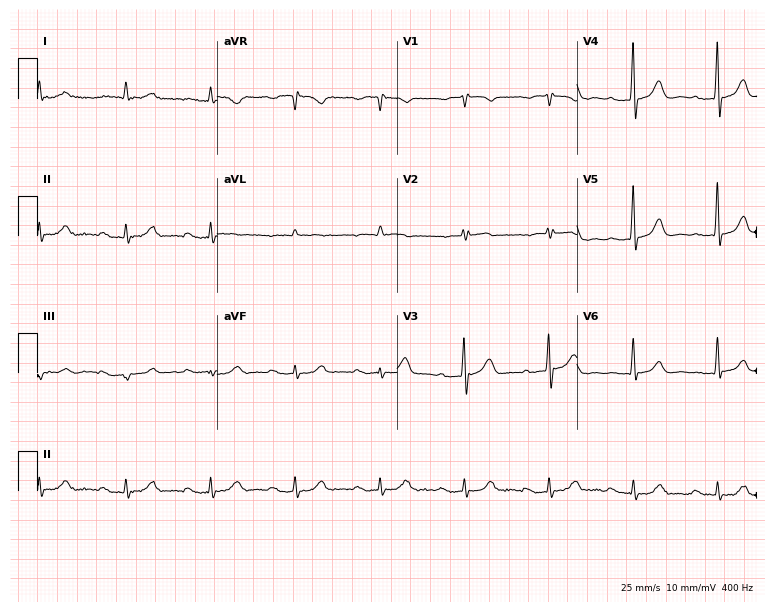
12-lead ECG (7.3-second recording at 400 Hz) from an 84-year-old male patient. Screened for six findings — first-degree AV block, right bundle branch block, left bundle branch block, sinus bradycardia, atrial fibrillation, sinus tachycardia — none is recorded. Only these six findings were labelled.